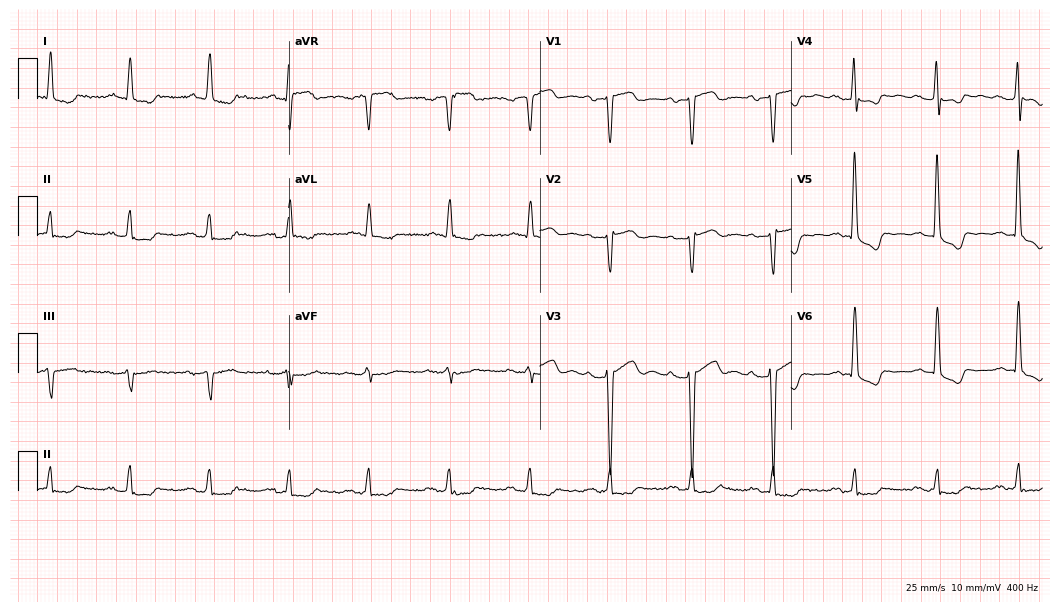
12-lead ECG from a 72-year-old female. Findings include first-degree AV block.